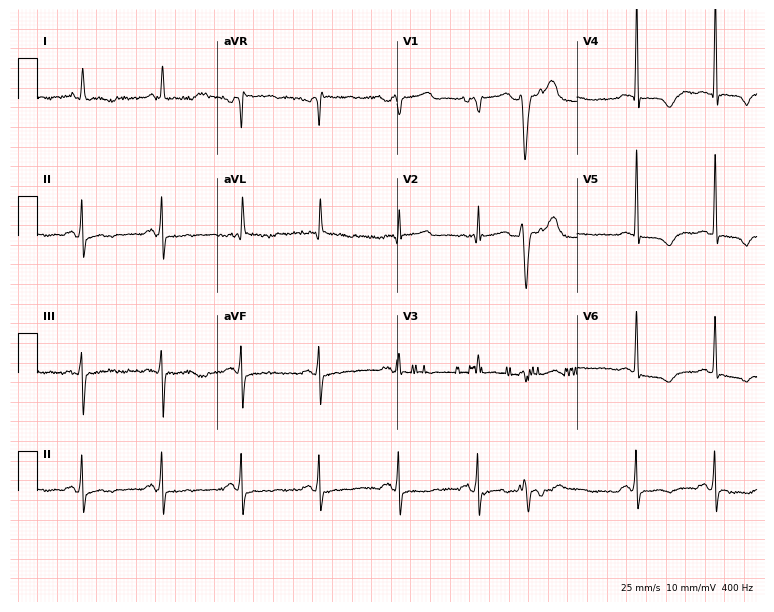
Electrocardiogram, a 79-year-old female. Overall reading on record: normal ECG.